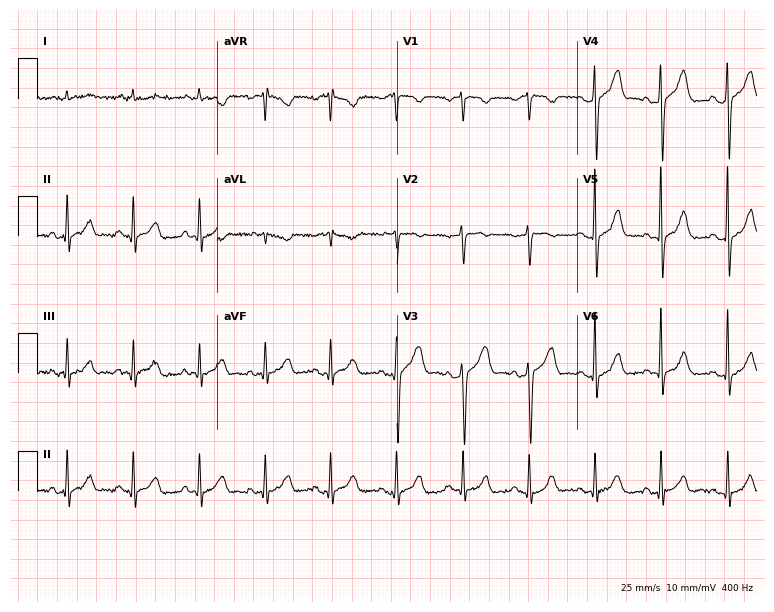
12-lead ECG (7.3-second recording at 400 Hz) from a 78-year-old male patient. Labelled as a normal ECG.